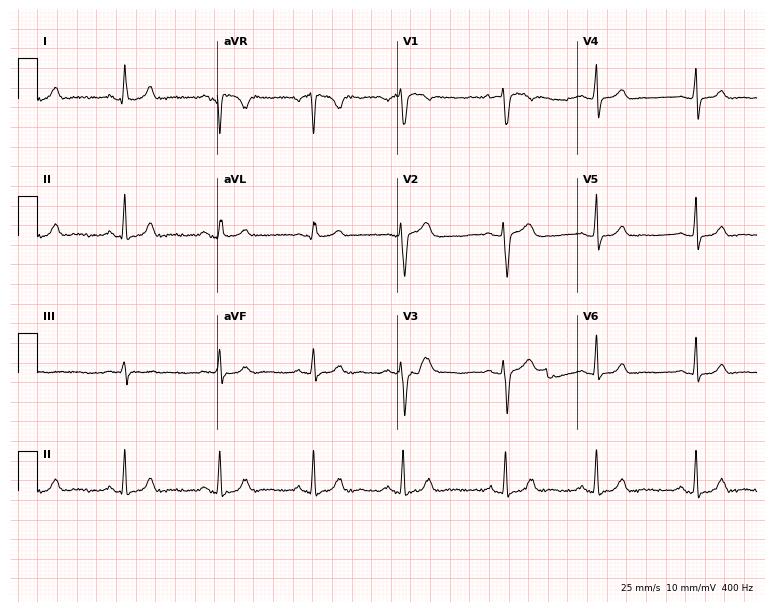
Standard 12-lead ECG recorded from a woman, 21 years old (7.3-second recording at 400 Hz). Read as a normal ECG.